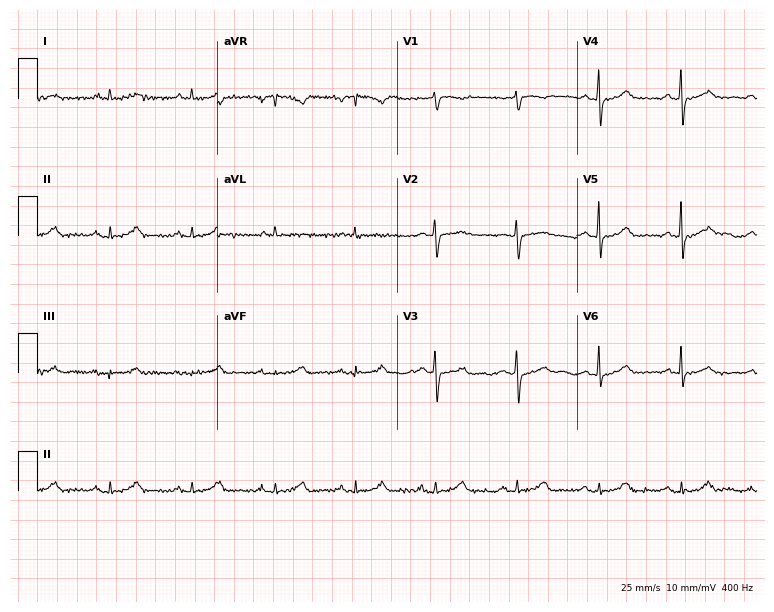
Resting 12-lead electrocardiogram (7.3-second recording at 400 Hz). Patient: an 81-year-old male. Read as a normal ECG.